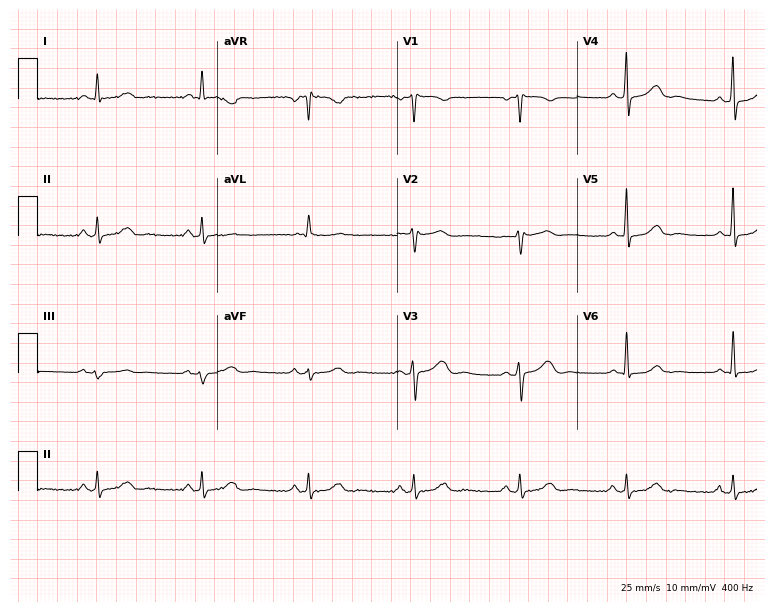
ECG — a female patient, 59 years old. Screened for six findings — first-degree AV block, right bundle branch block, left bundle branch block, sinus bradycardia, atrial fibrillation, sinus tachycardia — none is recorded. Other findings, if any, are not listed.